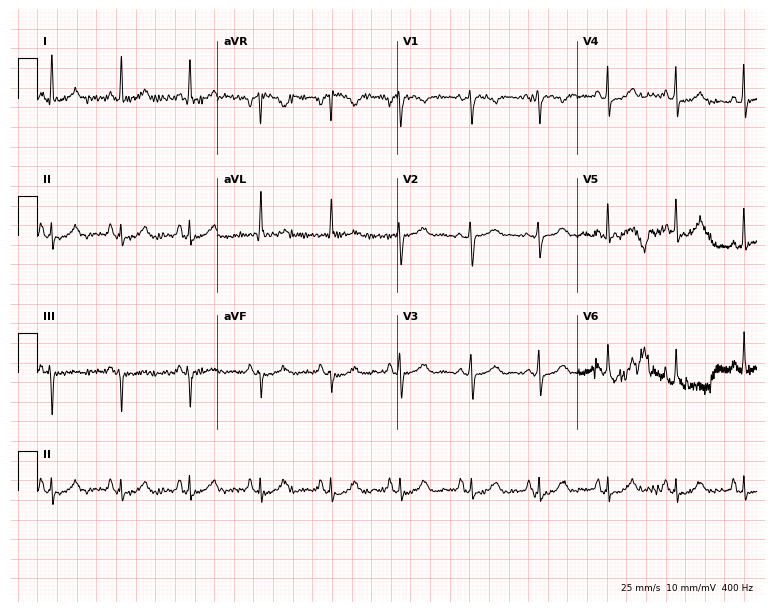
Resting 12-lead electrocardiogram (7.3-second recording at 400 Hz). Patient: a 54-year-old woman. Read as a normal ECG.